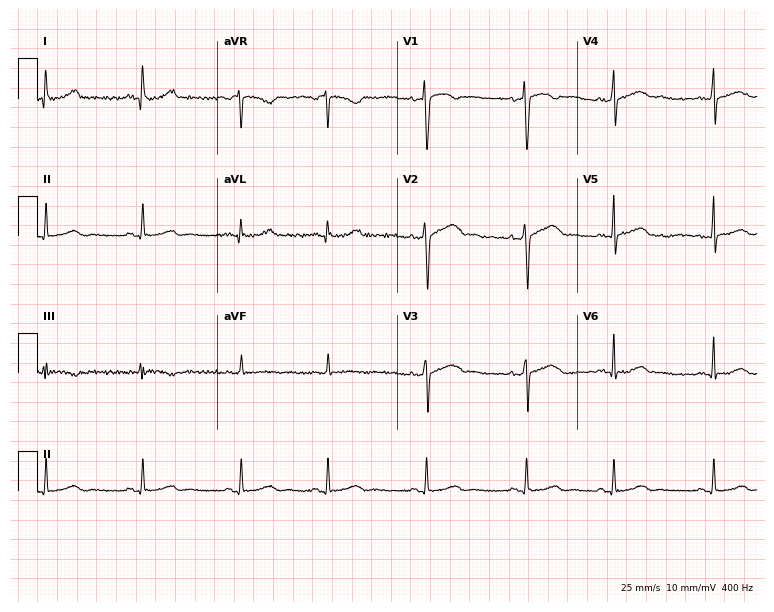
Resting 12-lead electrocardiogram. Patient: a 30-year-old woman. None of these six findings is recorded: first-degree AV block, right bundle branch block (RBBB), left bundle branch block (LBBB), sinus bradycardia, atrial fibrillation (AF), sinus tachycardia.